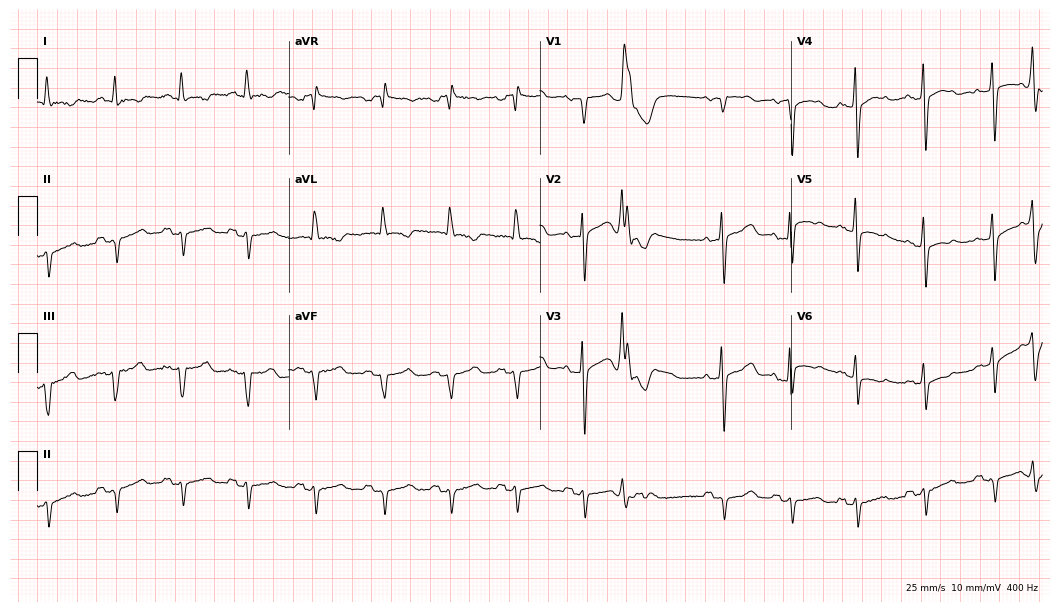
12-lead ECG from a female patient, 84 years old (10.2-second recording at 400 Hz). No first-degree AV block, right bundle branch block, left bundle branch block, sinus bradycardia, atrial fibrillation or sinus tachycardia recorded for this tracing.